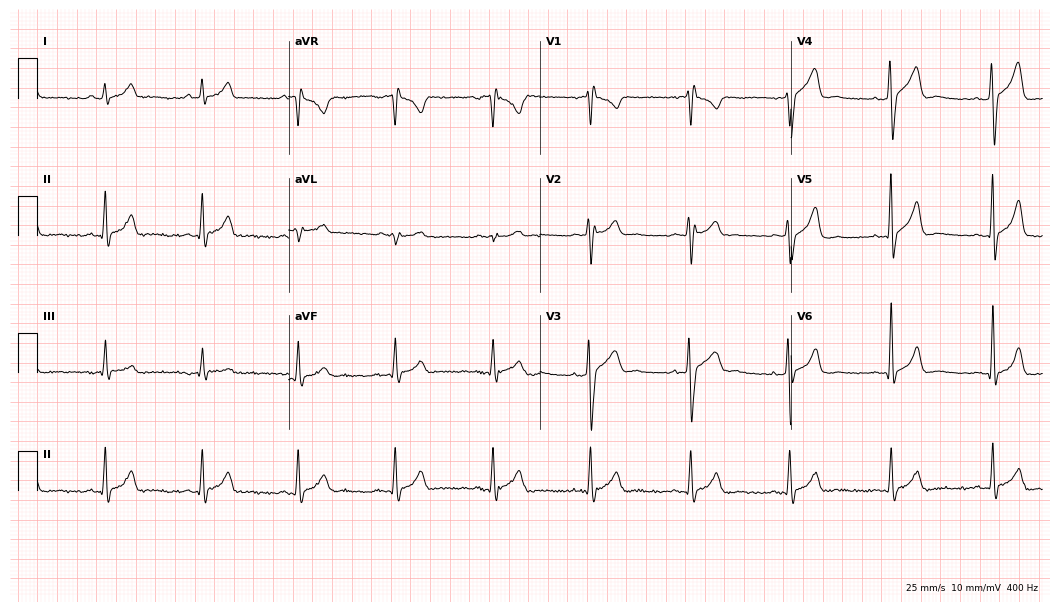
12-lead ECG from a 34-year-old male. No first-degree AV block, right bundle branch block, left bundle branch block, sinus bradycardia, atrial fibrillation or sinus tachycardia recorded for this tracing. Other findings, if any, are not listed.